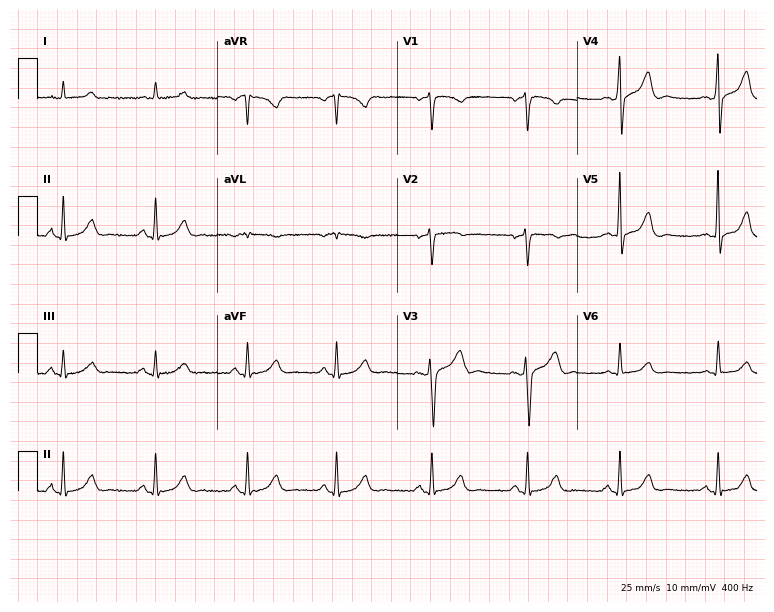
Resting 12-lead electrocardiogram (7.3-second recording at 400 Hz). Patient: a male, 64 years old. None of these six findings is recorded: first-degree AV block, right bundle branch block, left bundle branch block, sinus bradycardia, atrial fibrillation, sinus tachycardia.